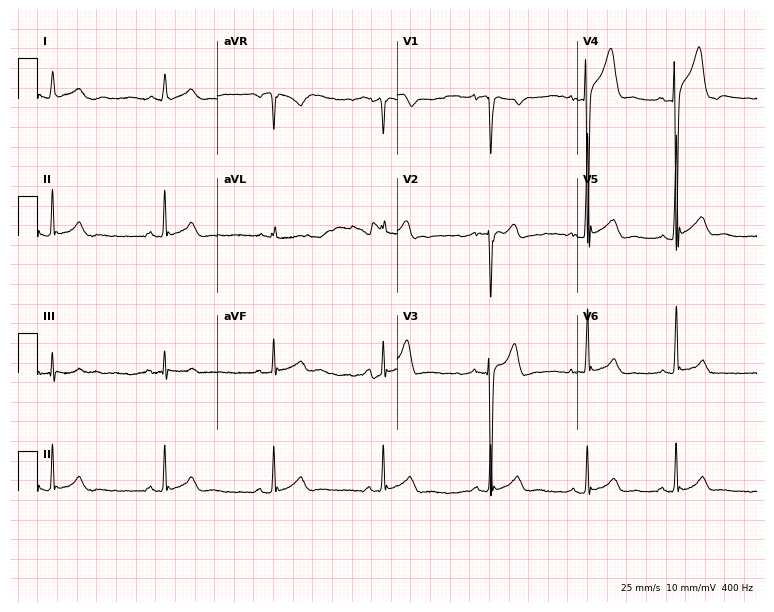
Electrocardiogram, a 20-year-old male patient. Overall reading on record: normal ECG.